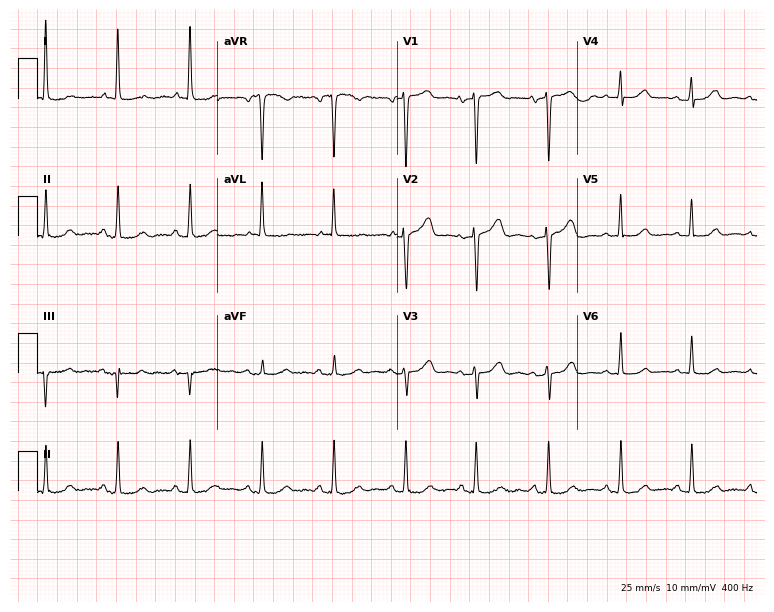
12-lead ECG from a 72-year-old woman. Screened for six findings — first-degree AV block, right bundle branch block, left bundle branch block, sinus bradycardia, atrial fibrillation, sinus tachycardia — none is recorded. Findings outside these six are not listed.